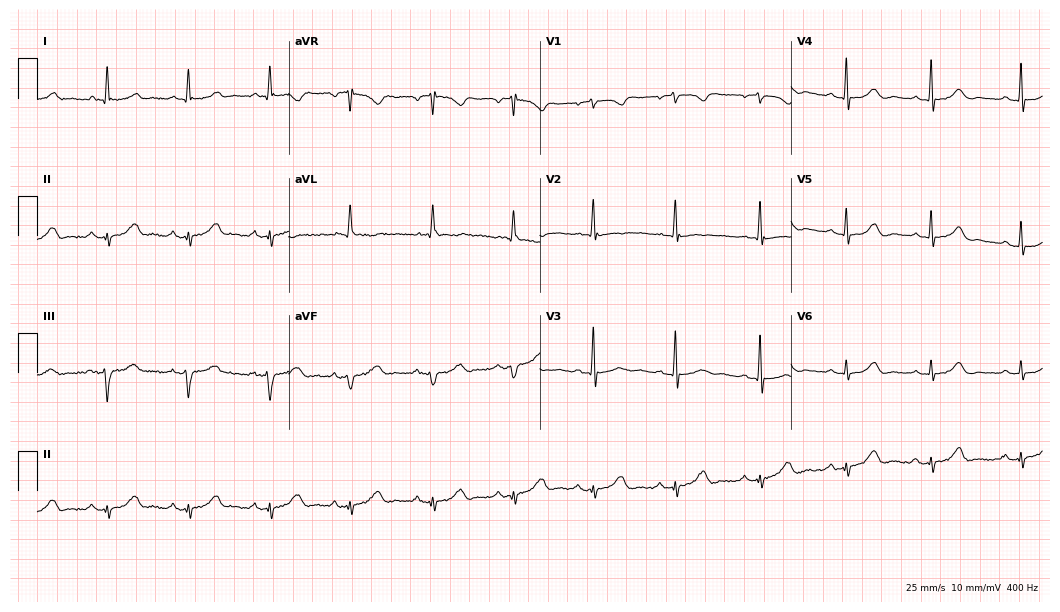
ECG (10.2-second recording at 400 Hz) — a female patient, 70 years old. Screened for six findings — first-degree AV block, right bundle branch block, left bundle branch block, sinus bradycardia, atrial fibrillation, sinus tachycardia — none is recorded.